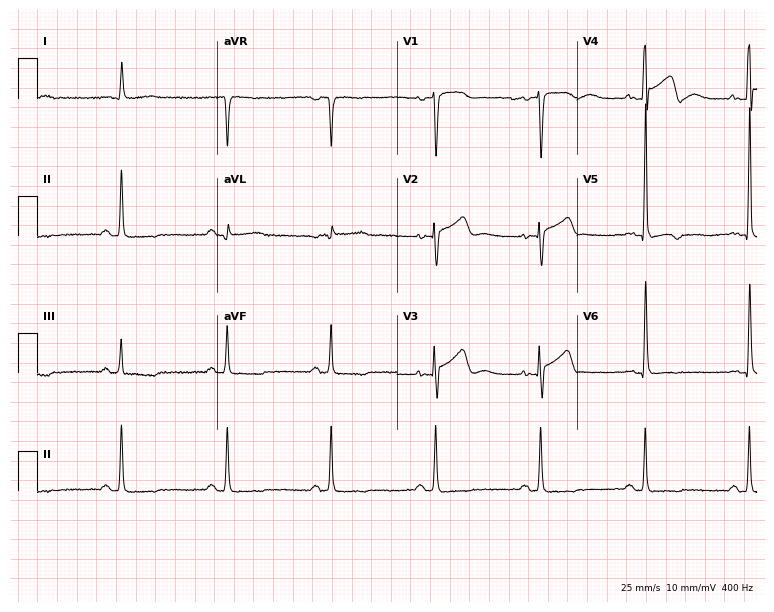
ECG — an 83-year-old man. Screened for six findings — first-degree AV block, right bundle branch block, left bundle branch block, sinus bradycardia, atrial fibrillation, sinus tachycardia — none is recorded. Findings outside these six are not listed.